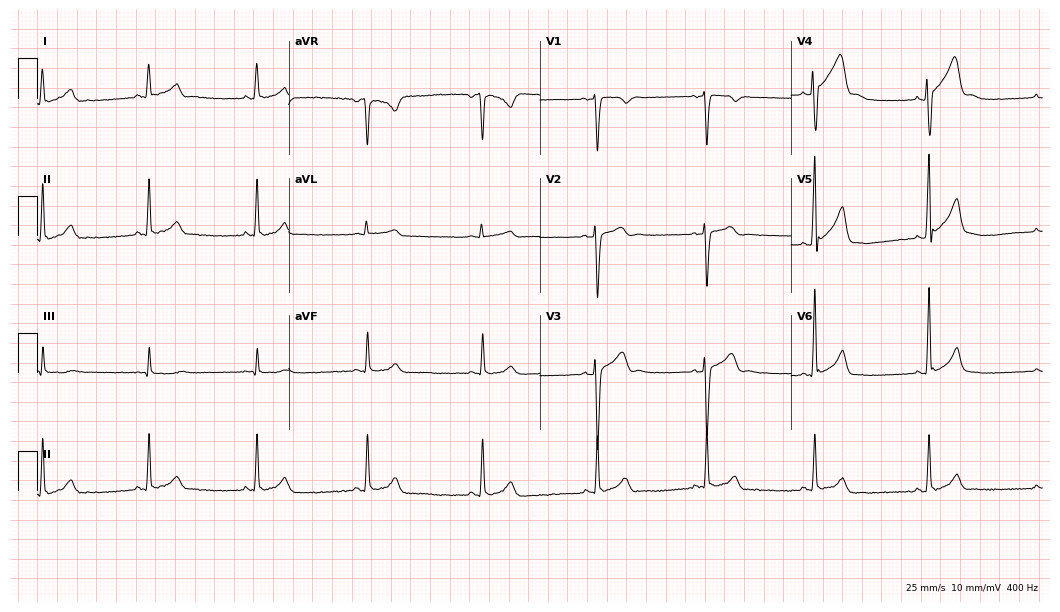
12-lead ECG from a man, 24 years old. Labelled as a normal ECG.